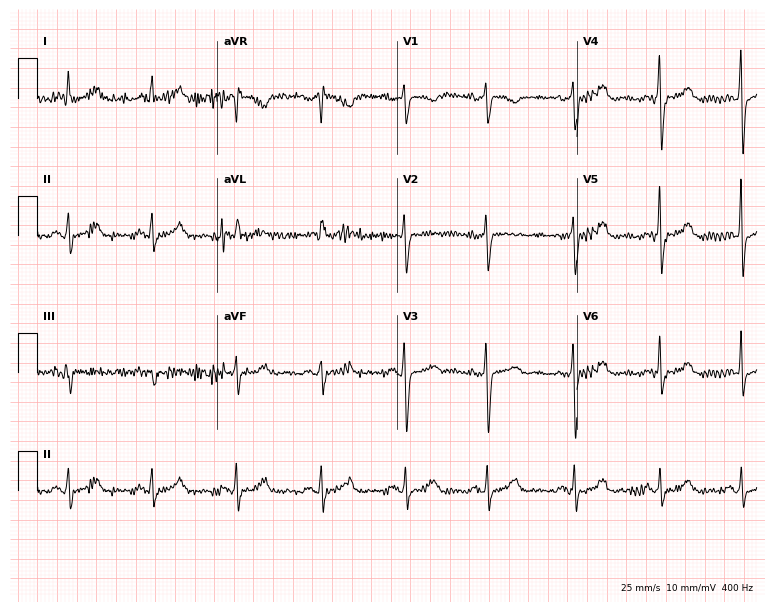
12-lead ECG from a female, 74 years old (7.3-second recording at 400 Hz). No first-degree AV block, right bundle branch block, left bundle branch block, sinus bradycardia, atrial fibrillation or sinus tachycardia recorded for this tracing. Only these six findings were labelled.